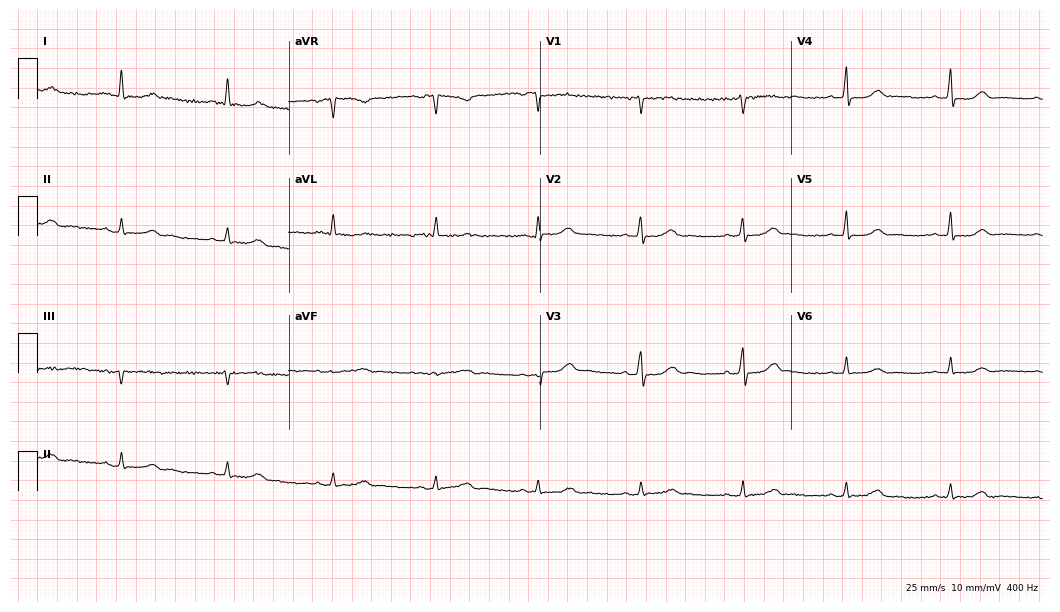
12-lead ECG from a female patient, 64 years old. Screened for six findings — first-degree AV block, right bundle branch block, left bundle branch block, sinus bradycardia, atrial fibrillation, sinus tachycardia — none is recorded.